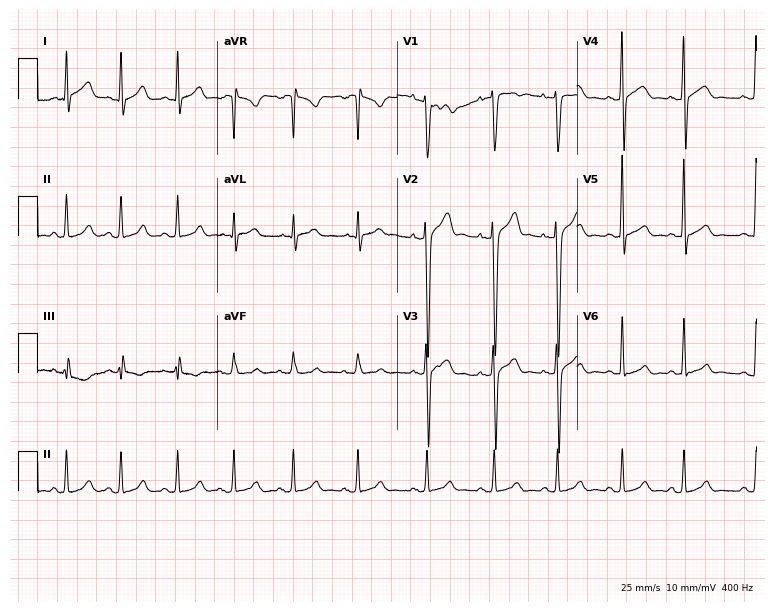
12-lead ECG from a male, 22 years old. No first-degree AV block, right bundle branch block, left bundle branch block, sinus bradycardia, atrial fibrillation or sinus tachycardia recorded for this tracing. Other findings, if any, are not listed.